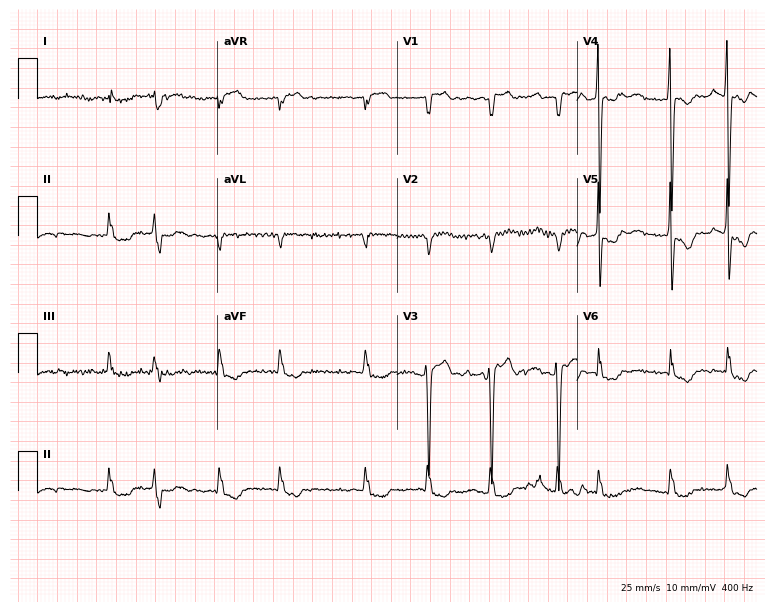
Resting 12-lead electrocardiogram. Patient: an 80-year-old woman. The tracing shows atrial fibrillation.